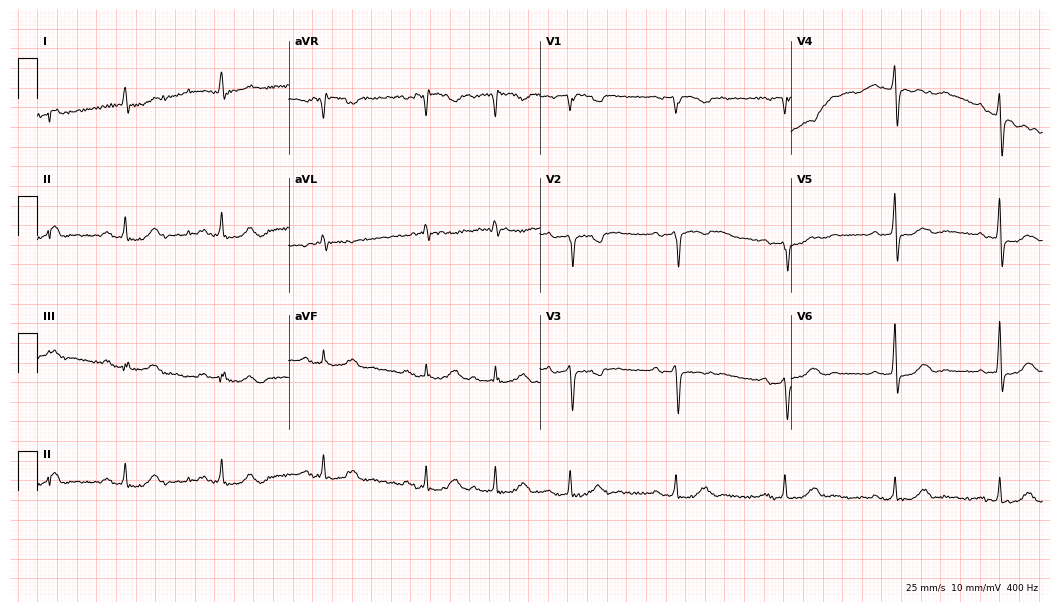
12-lead ECG from a 79-year-old man. Screened for six findings — first-degree AV block, right bundle branch block, left bundle branch block, sinus bradycardia, atrial fibrillation, sinus tachycardia — none is recorded.